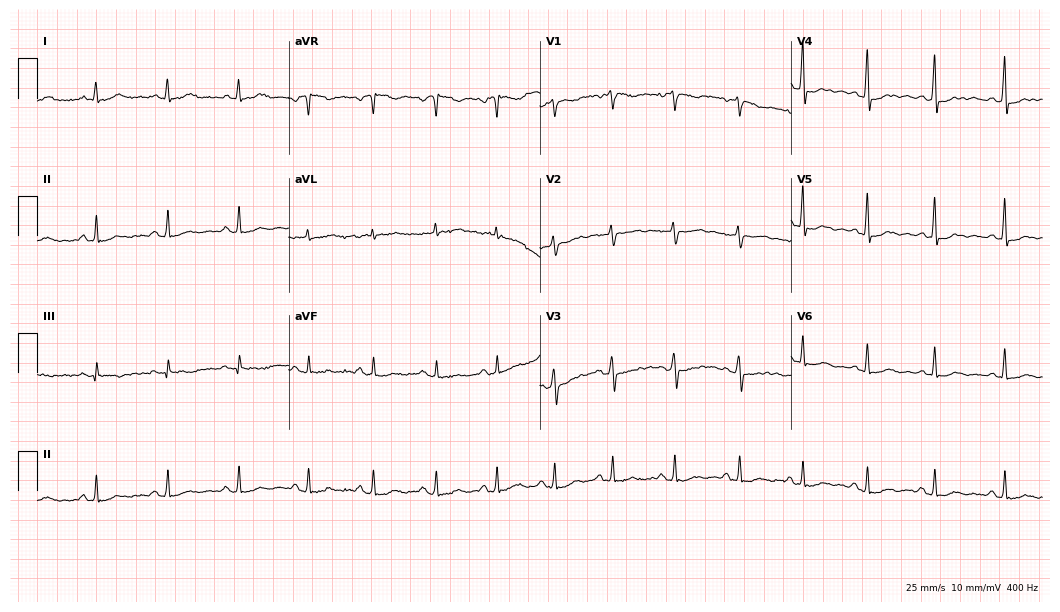
ECG (10.2-second recording at 400 Hz) — a 51-year-old female patient. Screened for six findings — first-degree AV block, right bundle branch block, left bundle branch block, sinus bradycardia, atrial fibrillation, sinus tachycardia — none is recorded.